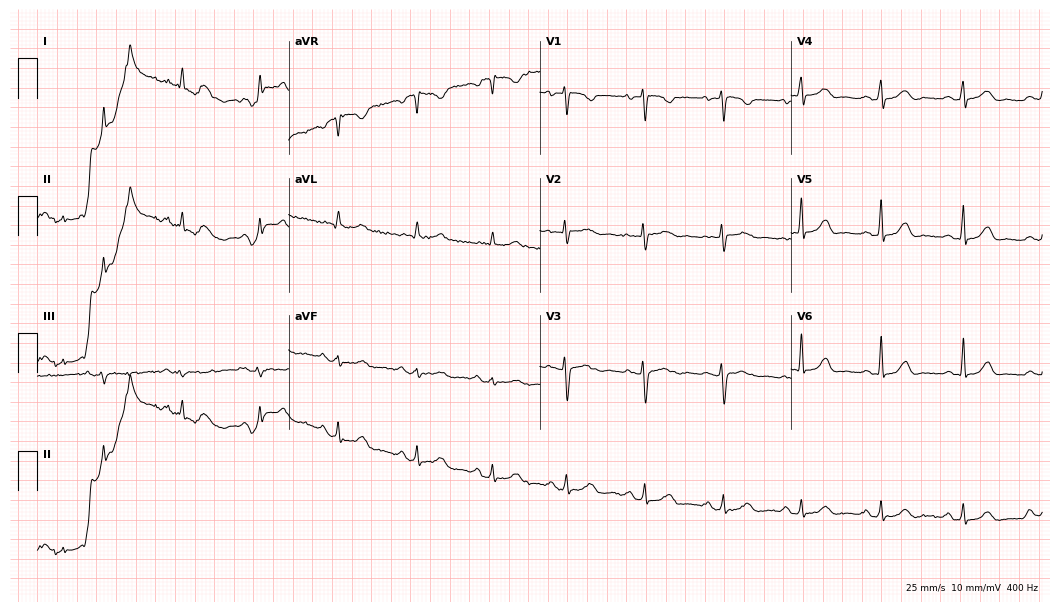
12-lead ECG (10.2-second recording at 400 Hz) from a female patient, 39 years old. Labelled as a normal ECG.